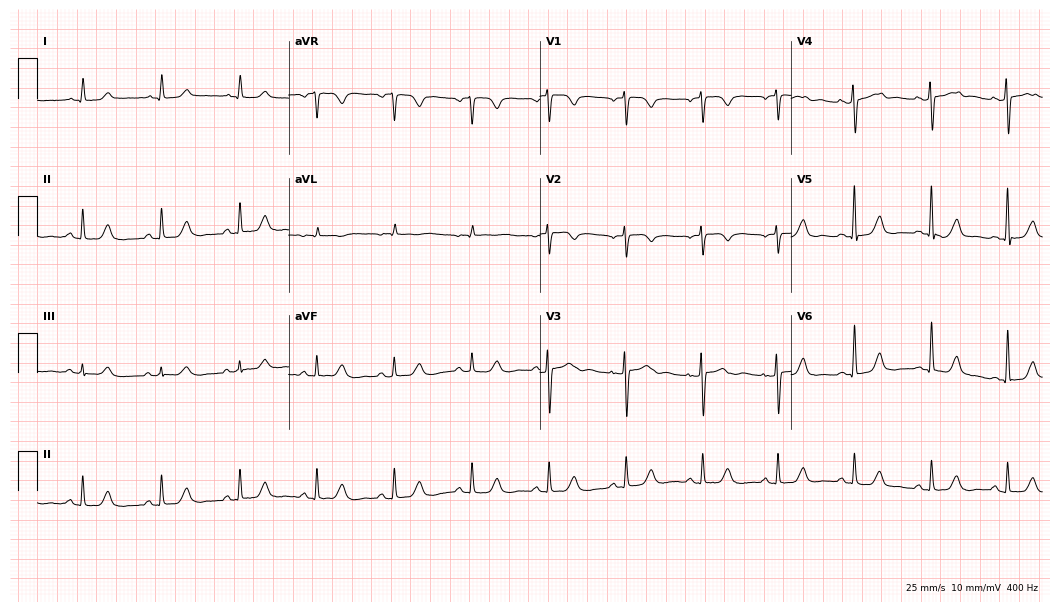
Electrocardiogram, a female patient, 73 years old. Overall reading on record: normal ECG.